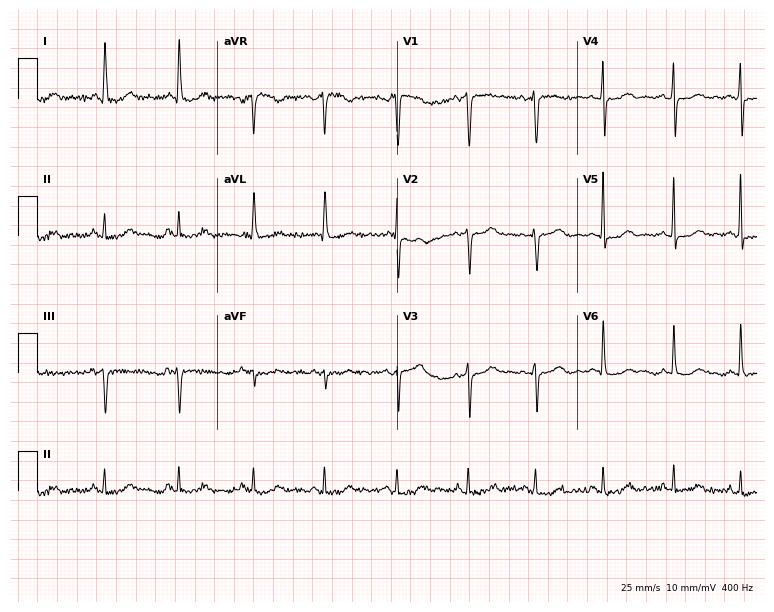
ECG (7.3-second recording at 400 Hz) — a 68-year-old female patient. Screened for six findings — first-degree AV block, right bundle branch block, left bundle branch block, sinus bradycardia, atrial fibrillation, sinus tachycardia — none is recorded. Other findings, if any, are not listed.